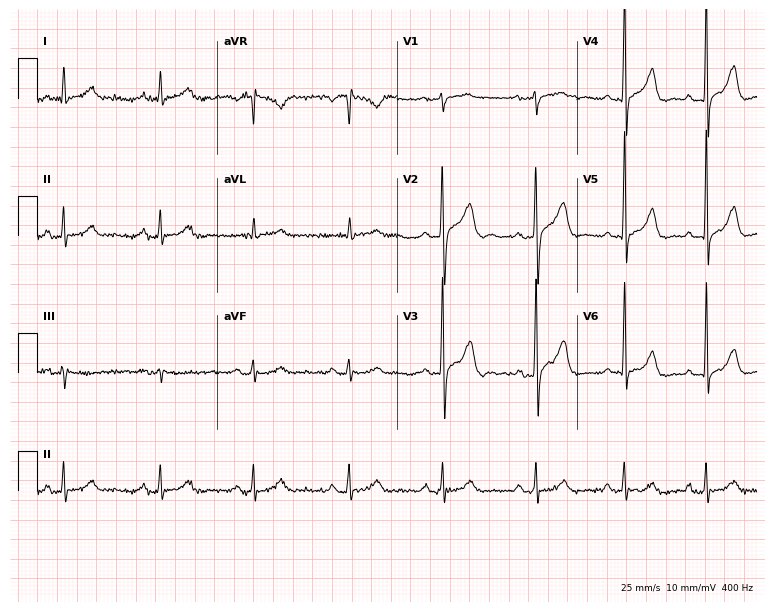
Standard 12-lead ECG recorded from a male, 65 years old. Read as a normal ECG.